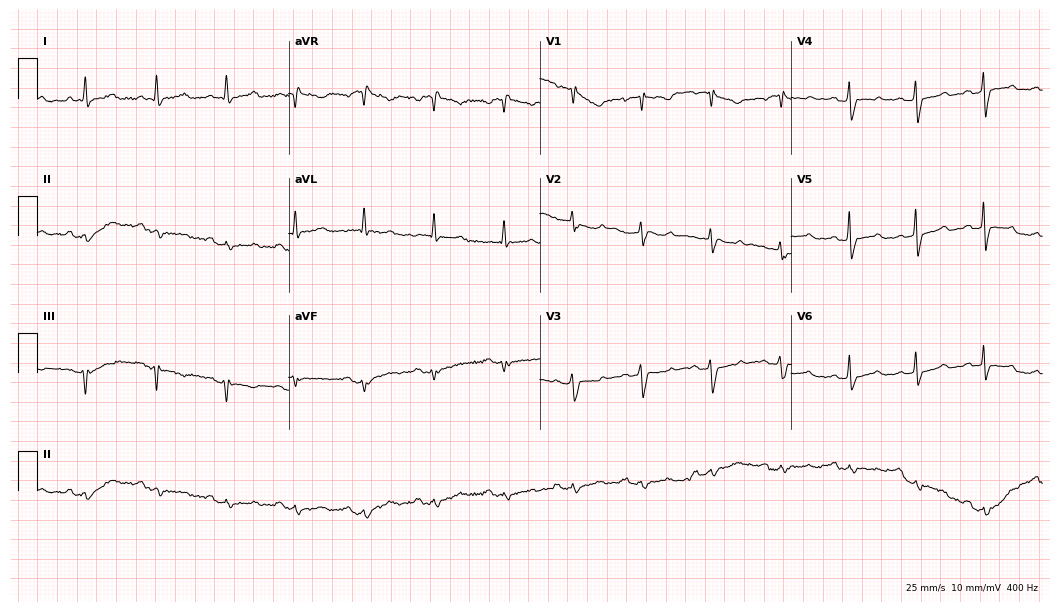
Electrocardiogram, a 79-year-old male patient. Of the six screened findings (first-degree AV block, right bundle branch block, left bundle branch block, sinus bradycardia, atrial fibrillation, sinus tachycardia), none is recorded.